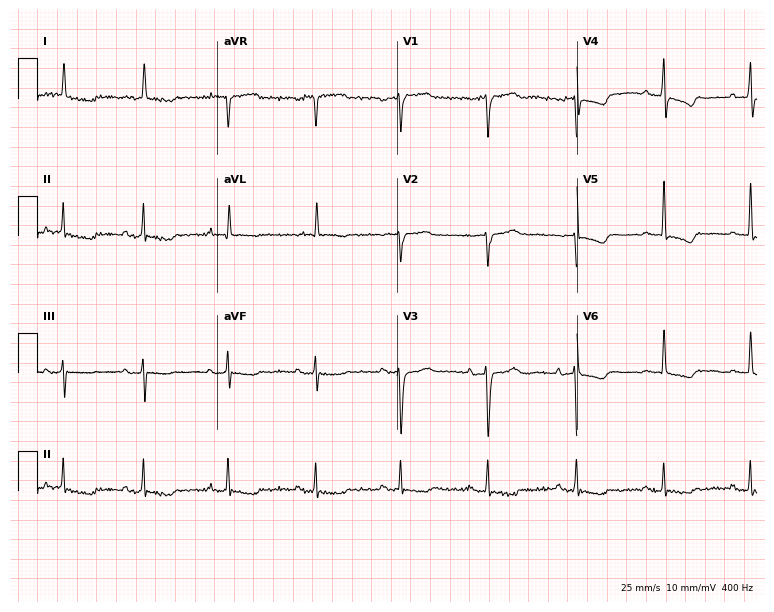
12-lead ECG from an 83-year-old female. No first-degree AV block, right bundle branch block, left bundle branch block, sinus bradycardia, atrial fibrillation or sinus tachycardia recorded for this tracing.